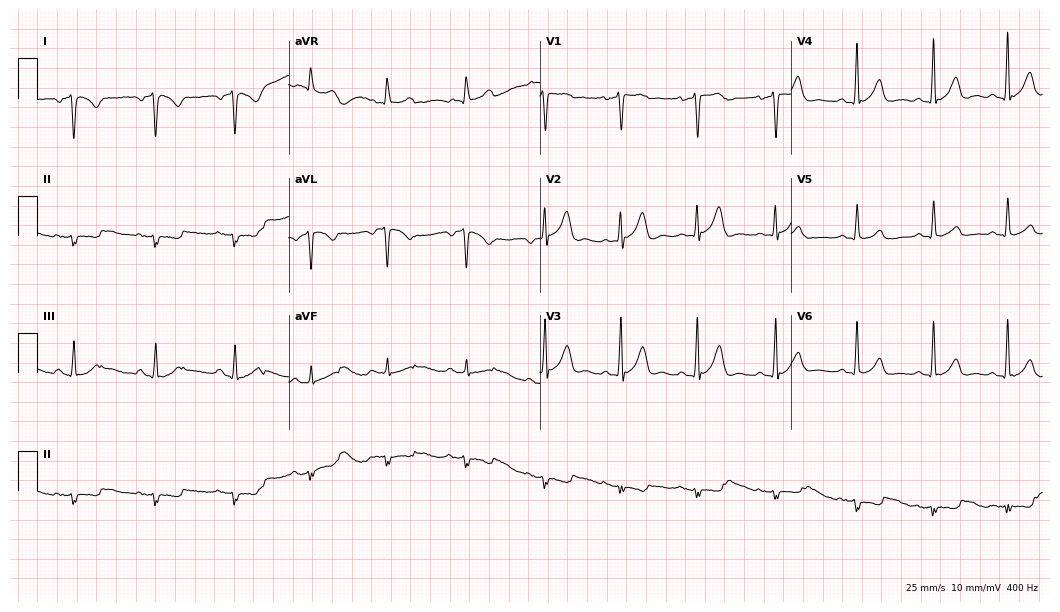
Standard 12-lead ECG recorded from a 47-year-old male patient. Read as a normal ECG.